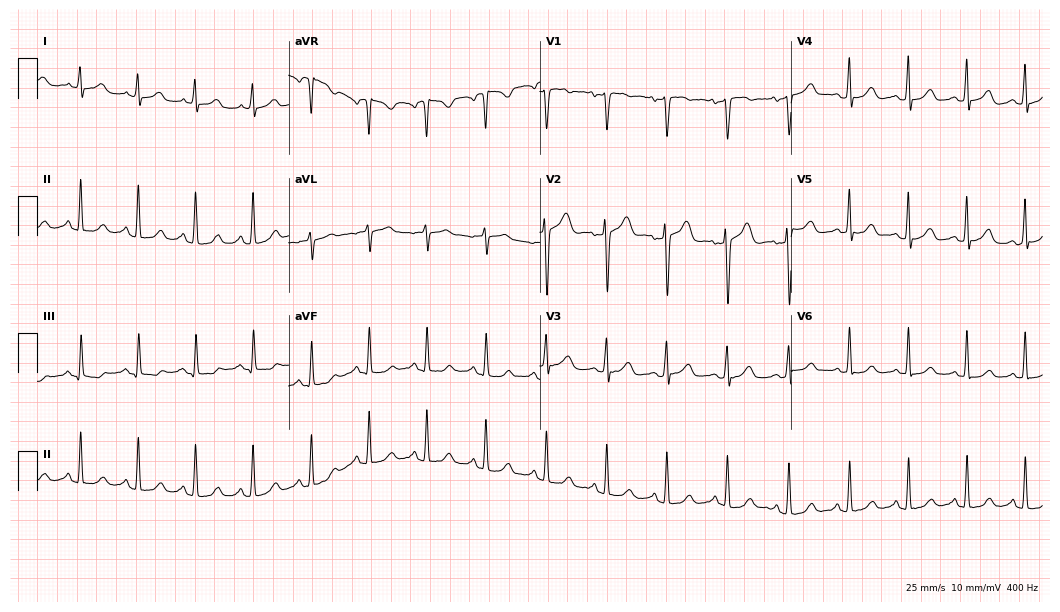
Standard 12-lead ECG recorded from a 32-year-old female patient (10.2-second recording at 400 Hz). Read as a normal ECG.